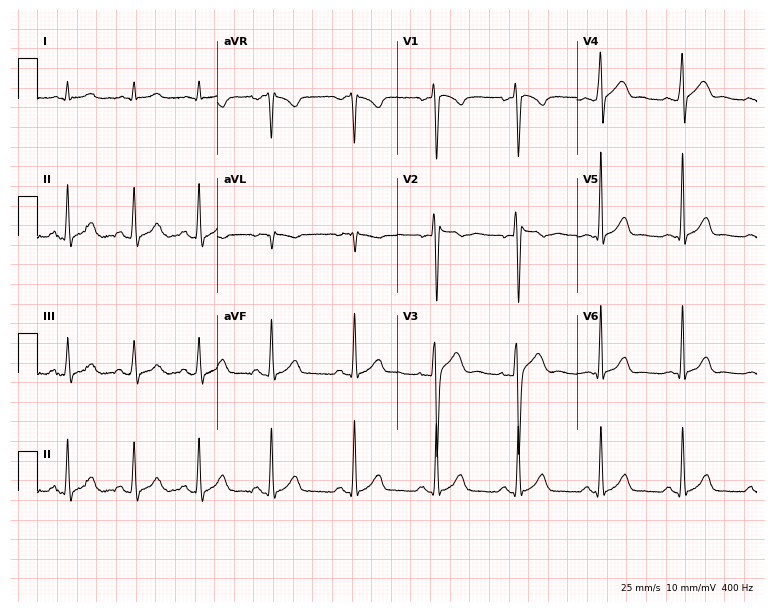
Electrocardiogram (7.3-second recording at 400 Hz), a 21-year-old male patient. Overall reading on record: normal ECG.